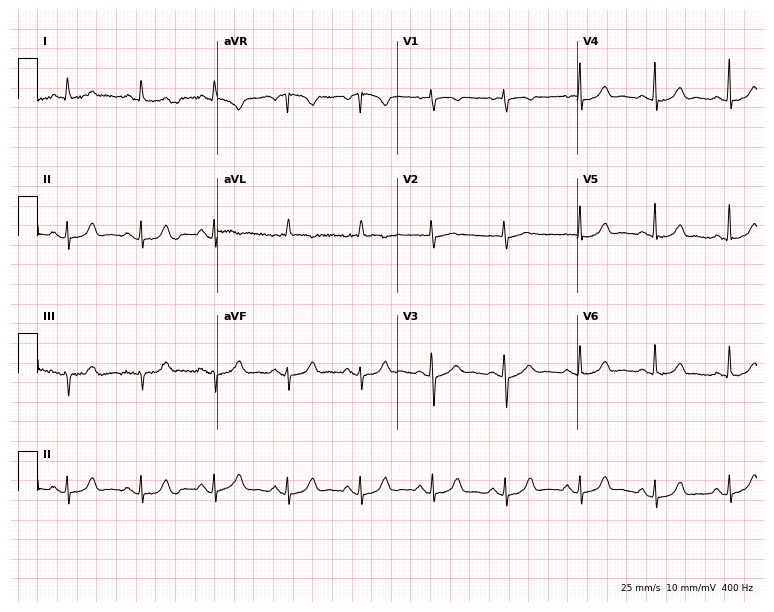
Standard 12-lead ECG recorded from a 66-year-old female patient (7.3-second recording at 400 Hz). Read as a normal ECG.